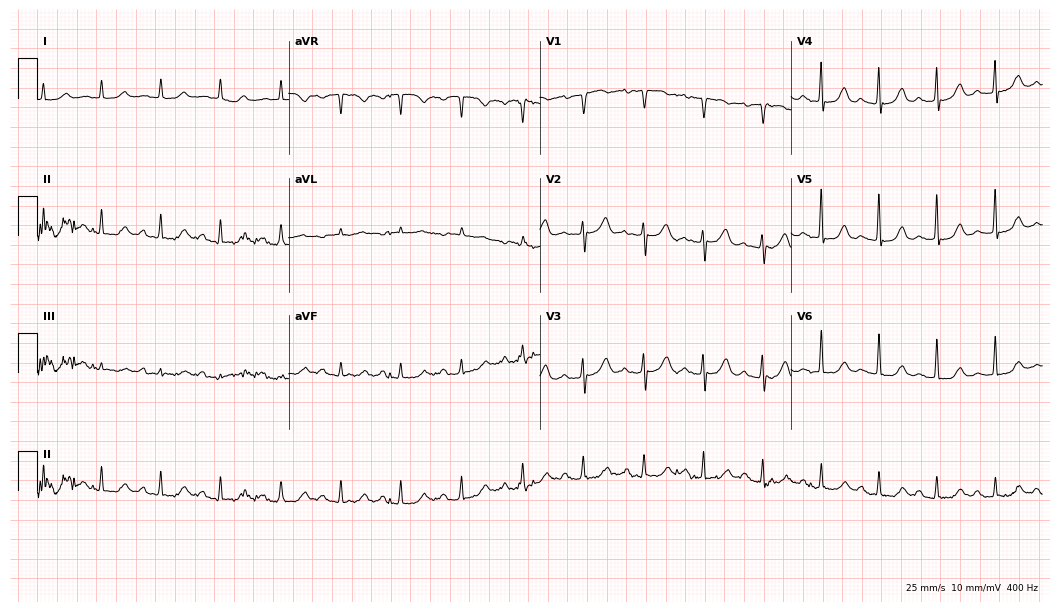
Resting 12-lead electrocardiogram (10.2-second recording at 400 Hz). Patient: a 71-year-old female. Read as a normal ECG.